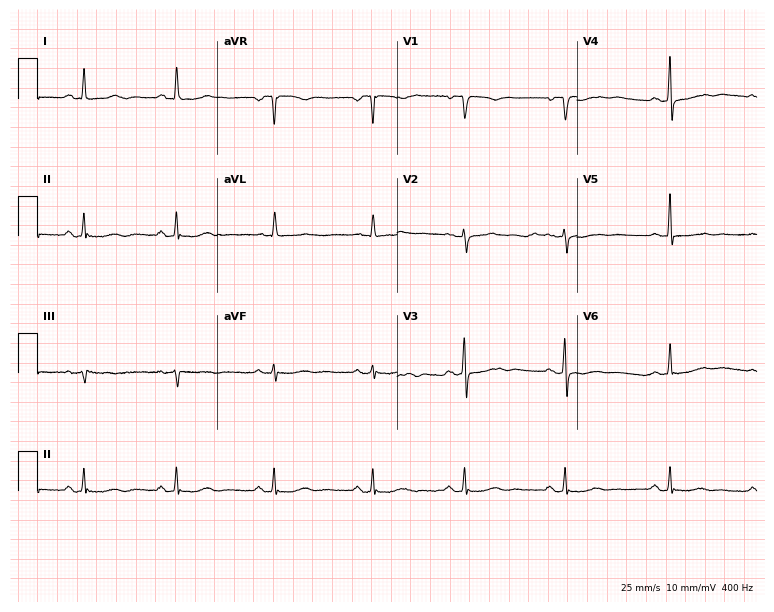
Resting 12-lead electrocardiogram. Patient: a woman, 55 years old. None of these six findings is recorded: first-degree AV block, right bundle branch block, left bundle branch block, sinus bradycardia, atrial fibrillation, sinus tachycardia.